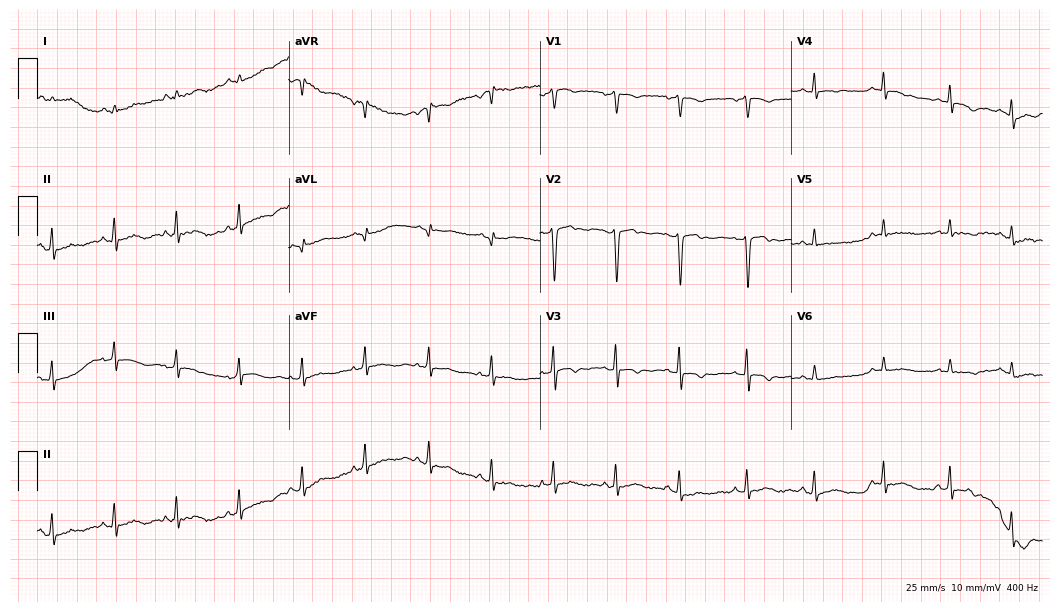
Standard 12-lead ECG recorded from a female, 41 years old. None of these six findings is recorded: first-degree AV block, right bundle branch block, left bundle branch block, sinus bradycardia, atrial fibrillation, sinus tachycardia.